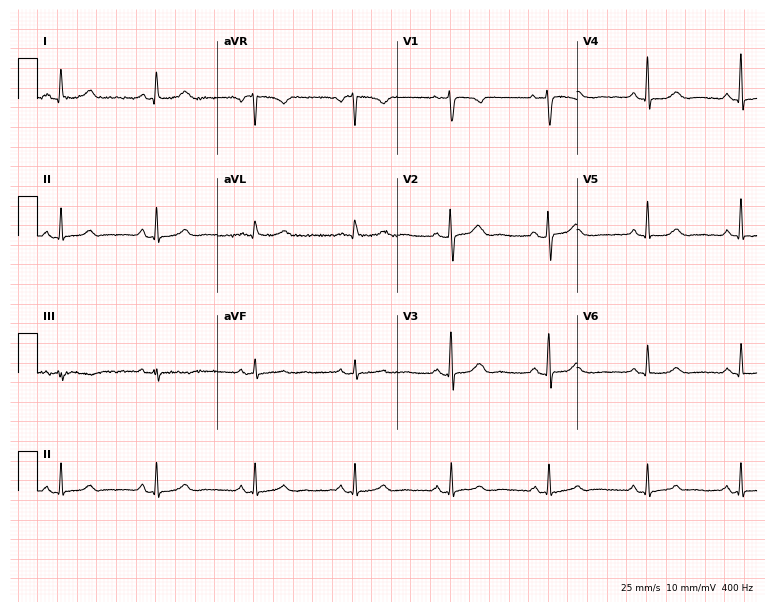
Standard 12-lead ECG recorded from a woman, 51 years old (7.3-second recording at 400 Hz). None of these six findings is recorded: first-degree AV block, right bundle branch block, left bundle branch block, sinus bradycardia, atrial fibrillation, sinus tachycardia. Only these six findings were labelled.